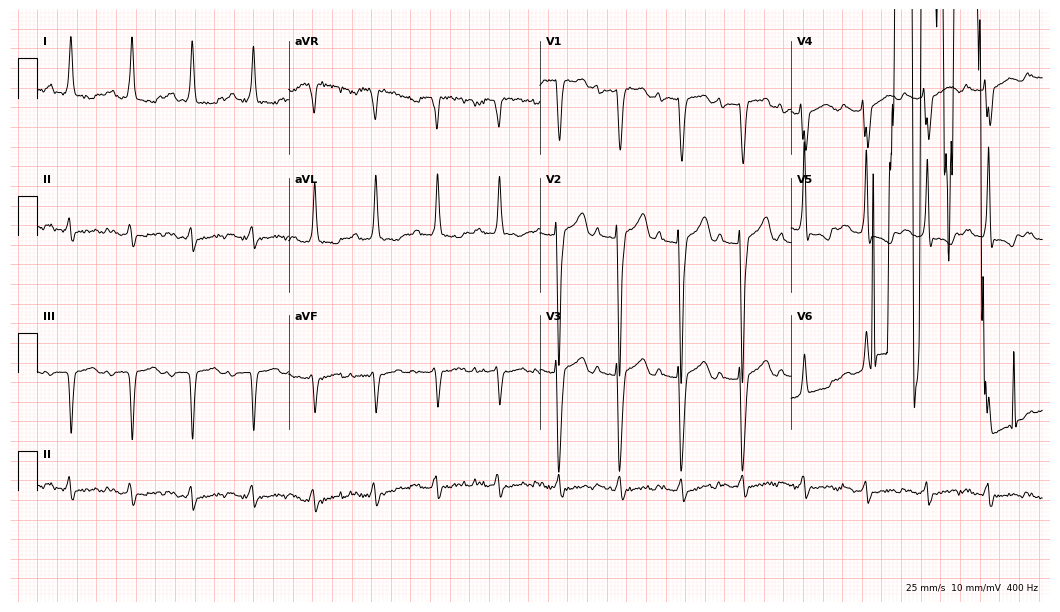
Standard 12-lead ECG recorded from a male patient, 65 years old (10.2-second recording at 400 Hz). None of these six findings is recorded: first-degree AV block, right bundle branch block, left bundle branch block, sinus bradycardia, atrial fibrillation, sinus tachycardia.